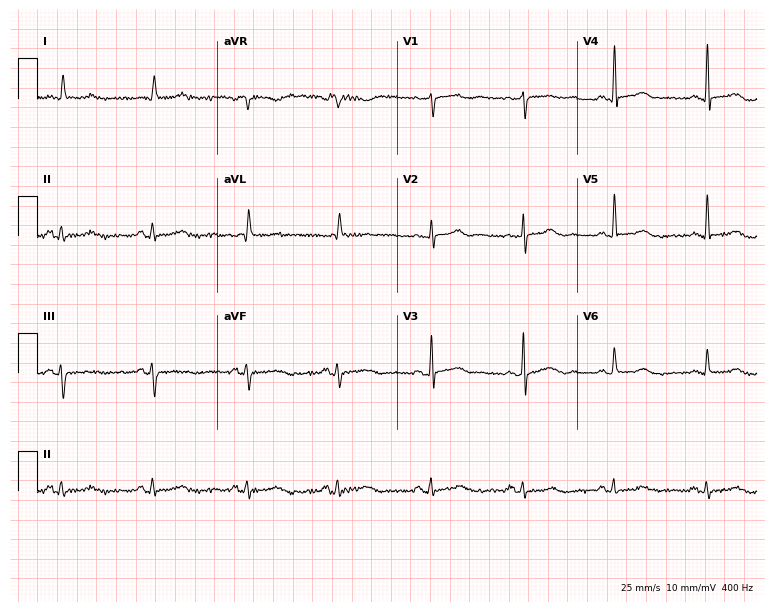
Electrocardiogram (7.3-second recording at 400 Hz), a 78-year-old man. Of the six screened findings (first-degree AV block, right bundle branch block, left bundle branch block, sinus bradycardia, atrial fibrillation, sinus tachycardia), none is recorded.